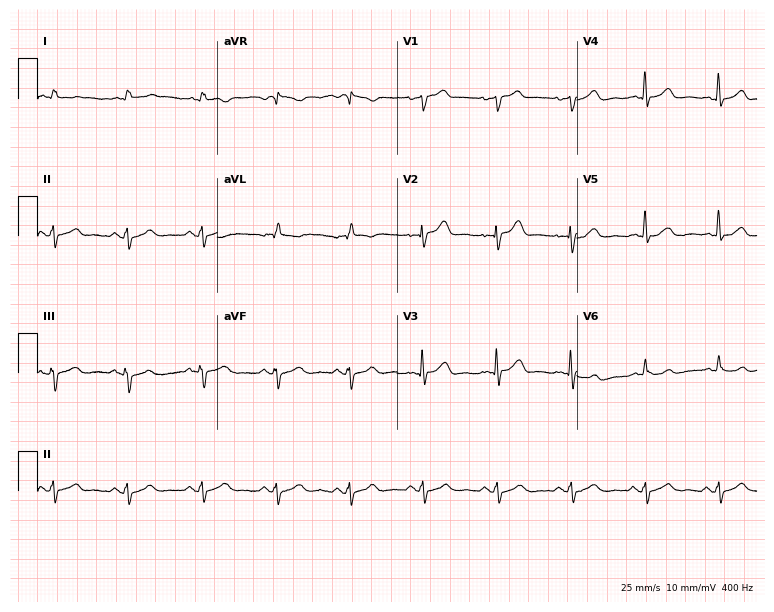
12-lead ECG from a 59-year-old man (7.3-second recording at 400 Hz). No first-degree AV block, right bundle branch block, left bundle branch block, sinus bradycardia, atrial fibrillation or sinus tachycardia recorded for this tracing.